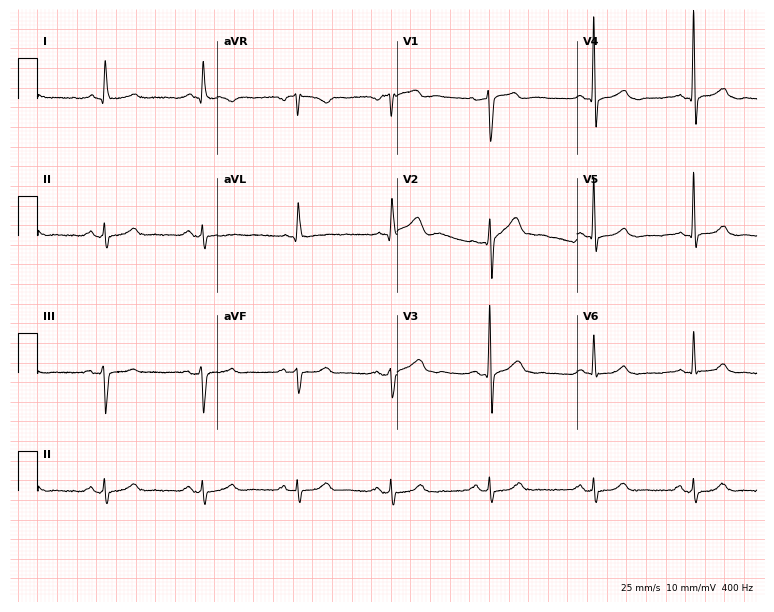
Electrocardiogram, a male, 58 years old. Of the six screened findings (first-degree AV block, right bundle branch block, left bundle branch block, sinus bradycardia, atrial fibrillation, sinus tachycardia), none is recorded. Findings outside these six are not listed.